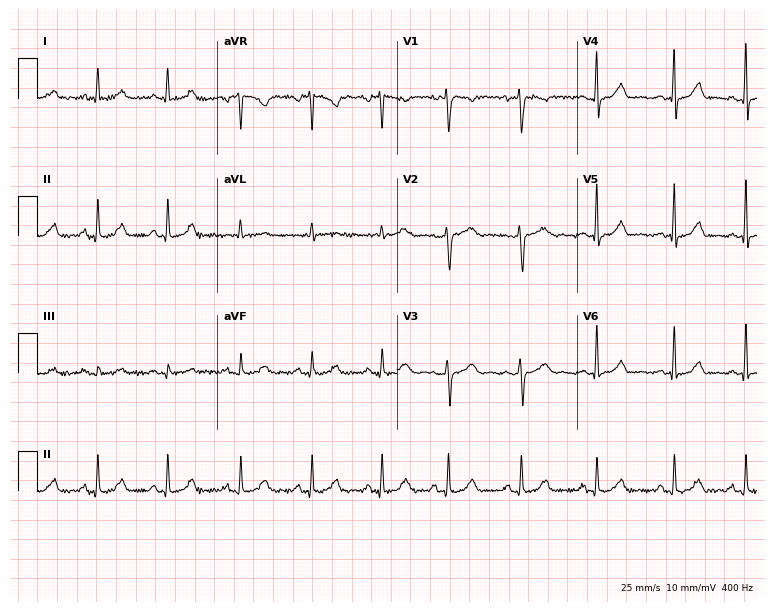
12-lead ECG from a 30-year-old female. Labelled as a normal ECG.